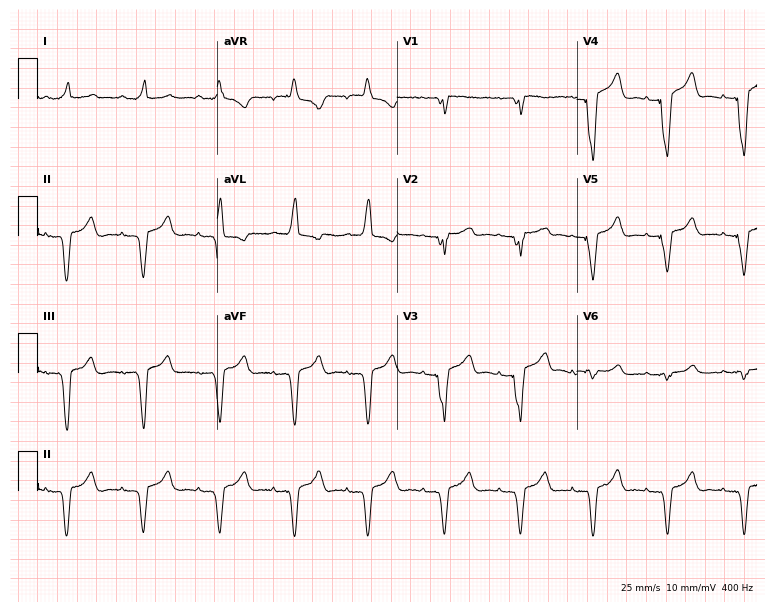
12-lead ECG from a female patient, 57 years old. No first-degree AV block, right bundle branch block, left bundle branch block, sinus bradycardia, atrial fibrillation or sinus tachycardia recorded for this tracing.